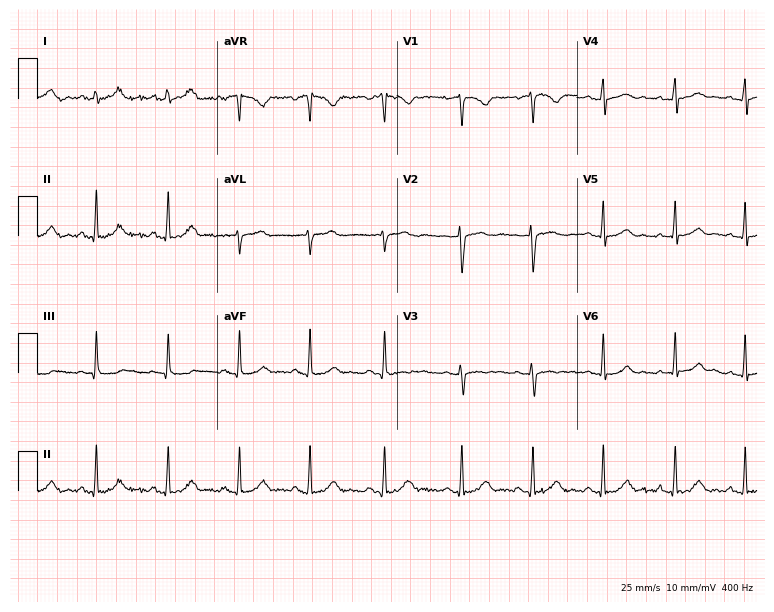
Resting 12-lead electrocardiogram. Patient: a 24-year-old female. Read as a normal ECG.